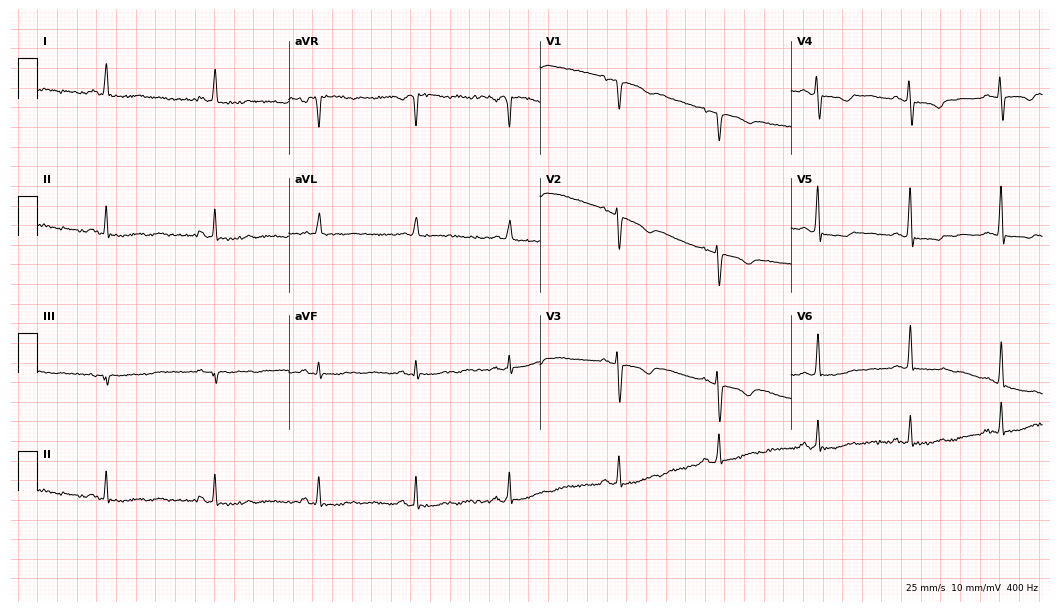
12-lead ECG (10.2-second recording at 400 Hz) from a woman, 62 years old. Screened for six findings — first-degree AV block, right bundle branch block, left bundle branch block, sinus bradycardia, atrial fibrillation, sinus tachycardia — none is recorded. Other findings, if any, are not listed.